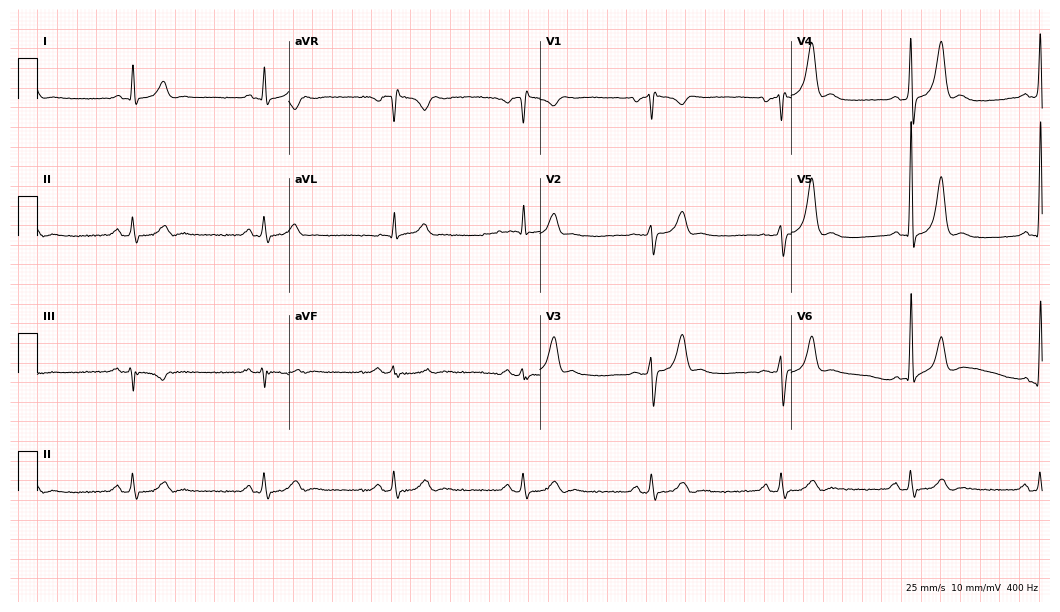
12-lead ECG from a 61-year-old man (10.2-second recording at 400 Hz). No first-degree AV block, right bundle branch block, left bundle branch block, sinus bradycardia, atrial fibrillation or sinus tachycardia recorded for this tracing.